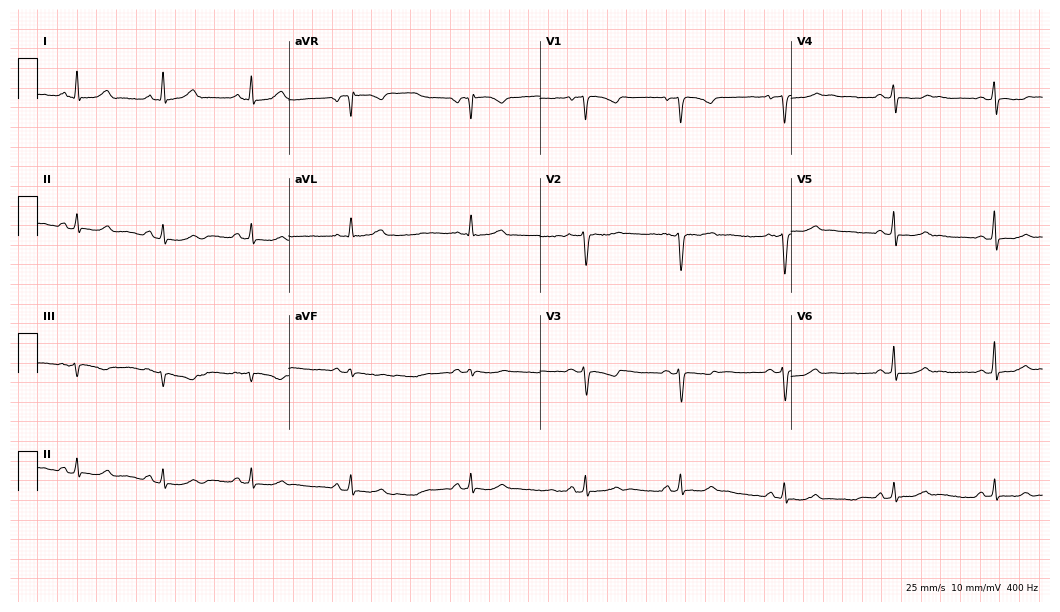
12-lead ECG (10.2-second recording at 400 Hz) from a 39-year-old female patient. Screened for six findings — first-degree AV block, right bundle branch block, left bundle branch block, sinus bradycardia, atrial fibrillation, sinus tachycardia — none is recorded.